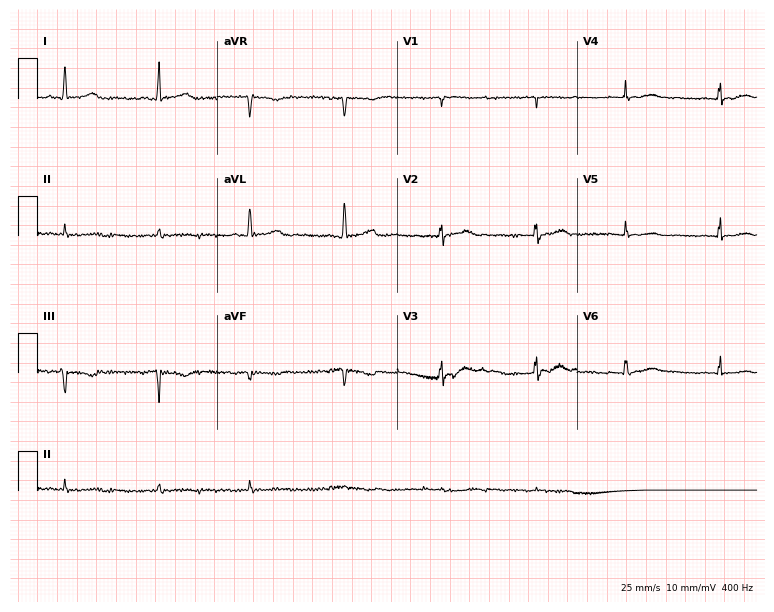
Resting 12-lead electrocardiogram (7.3-second recording at 400 Hz). Patient: a 28-year-old male. None of these six findings is recorded: first-degree AV block, right bundle branch block, left bundle branch block, sinus bradycardia, atrial fibrillation, sinus tachycardia.